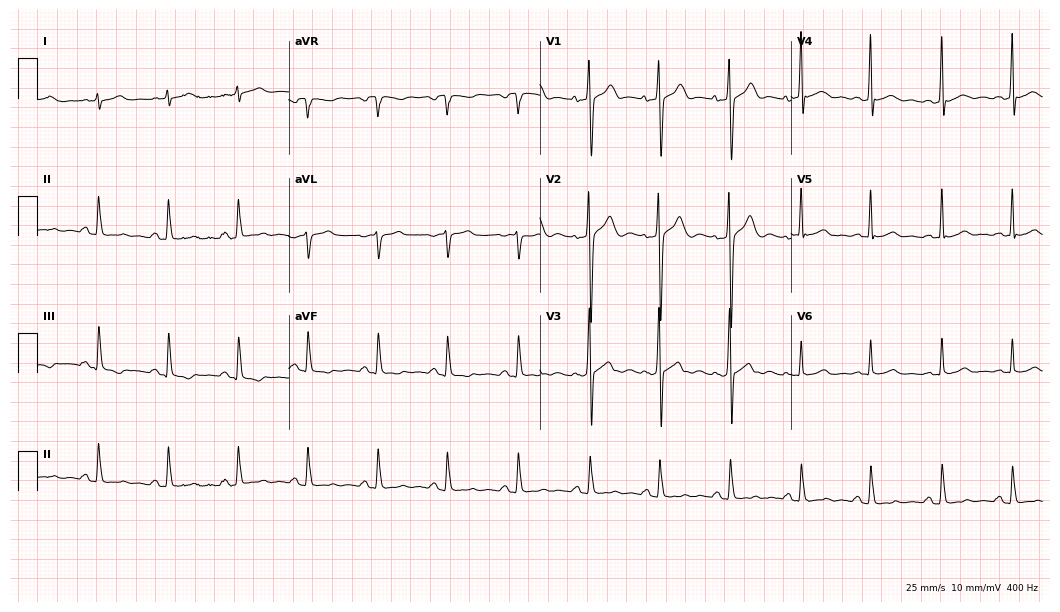
Standard 12-lead ECG recorded from a male, 19 years old. Read as a normal ECG.